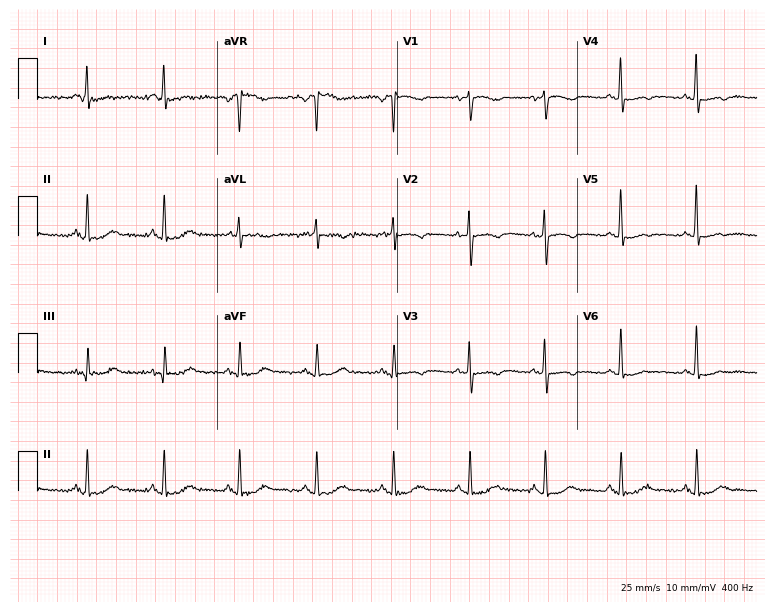
ECG — a 56-year-old female. Screened for six findings — first-degree AV block, right bundle branch block, left bundle branch block, sinus bradycardia, atrial fibrillation, sinus tachycardia — none is recorded.